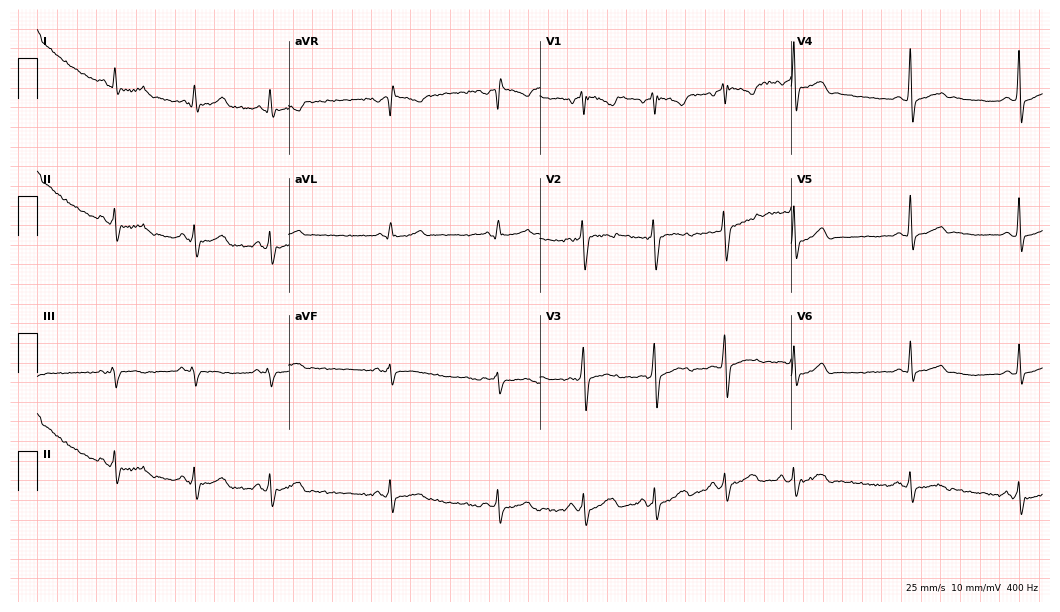
Standard 12-lead ECG recorded from a male patient, 31 years old. Read as a normal ECG.